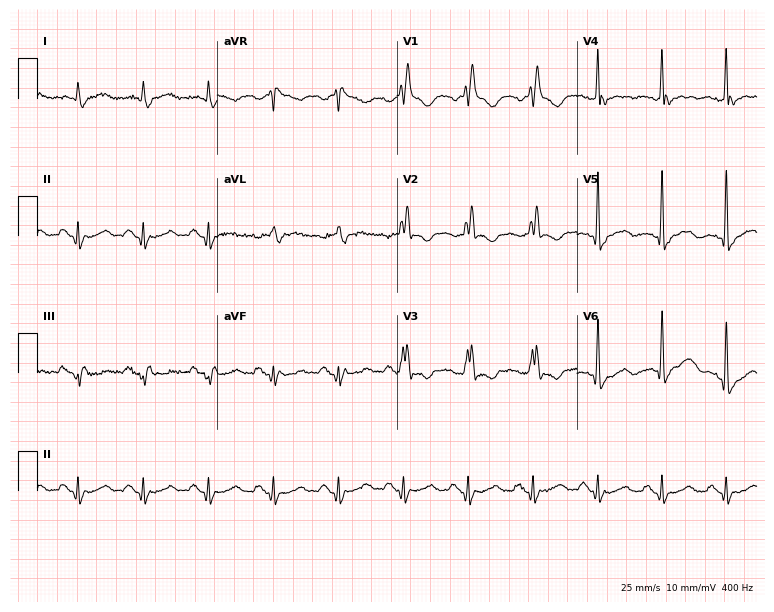
Standard 12-lead ECG recorded from a man, 74 years old (7.3-second recording at 400 Hz). The tracing shows right bundle branch block.